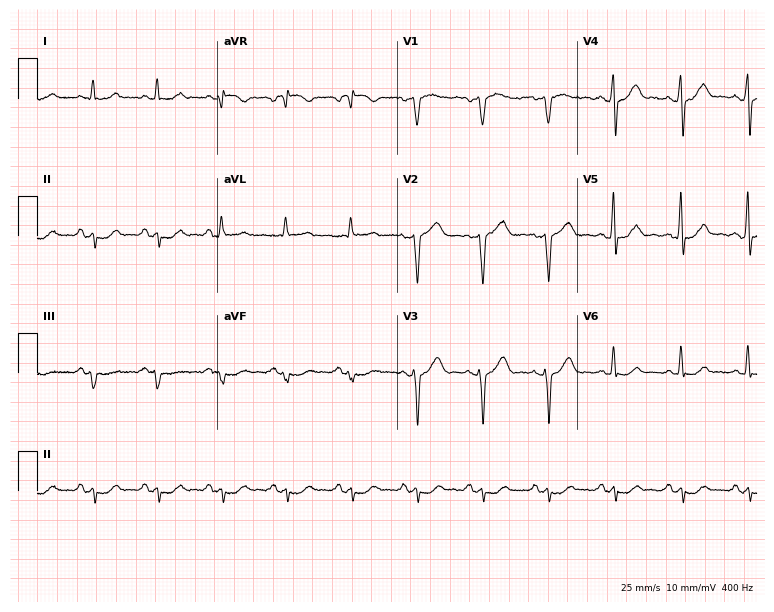
12-lead ECG from a man, 63 years old. Screened for six findings — first-degree AV block, right bundle branch block (RBBB), left bundle branch block (LBBB), sinus bradycardia, atrial fibrillation (AF), sinus tachycardia — none is recorded. Other findings, if any, are not listed.